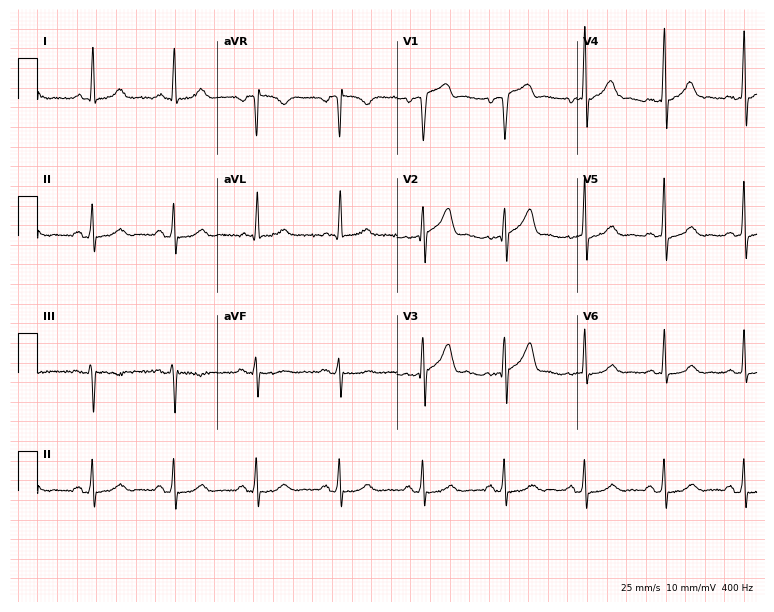
ECG (7.3-second recording at 400 Hz) — a man, 70 years old. Screened for six findings — first-degree AV block, right bundle branch block, left bundle branch block, sinus bradycardia, atrial fibrillation, sinus tachycardia — none is recorded. Only these six findings were labelled.